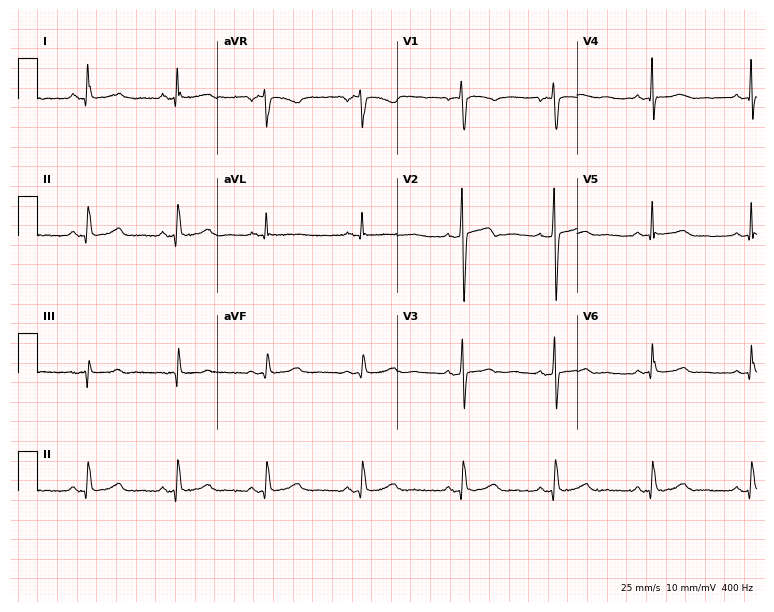
Standard 12-lead ECG recorded from a woman, 41 years old (7.3-second recording at 400 Hz). None of these six findings is recorded: first-degree AV block, right bundle branch block, left bundle branch block, sinus bradycardia, atrial fibrillation, sinus tachycardia. Other findings, if any, are not listed.